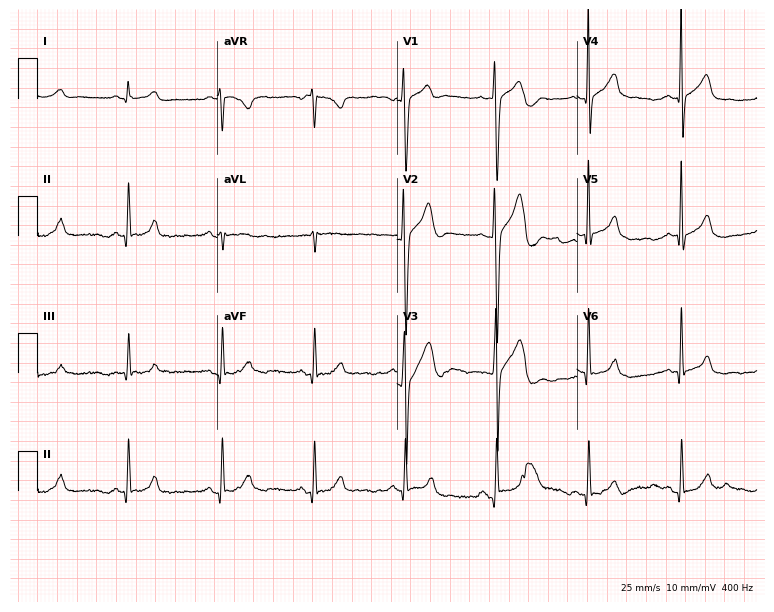
Standard 12-lead ECG recorded from a male, 35 years old. None of these six findings is recorded: first-degree AV block, right bundle branch block, left bundle branch block, sinus bradycardia, atrial fibrillation, sinus tachycardia. Findings outside these six are not listed.